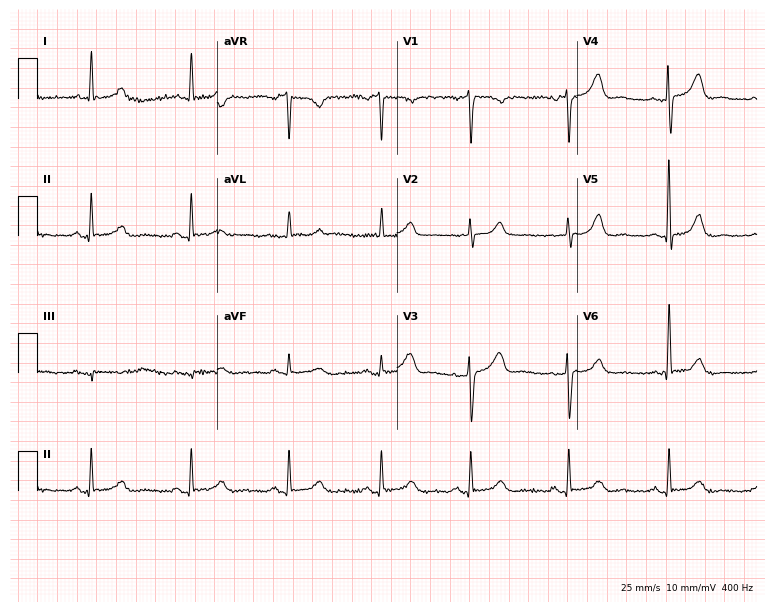
Resting 12-lead electrocardiogram (7.3-second recording at 400 Hz). Patient: a 53-year-old female. Read as a normal ECG.